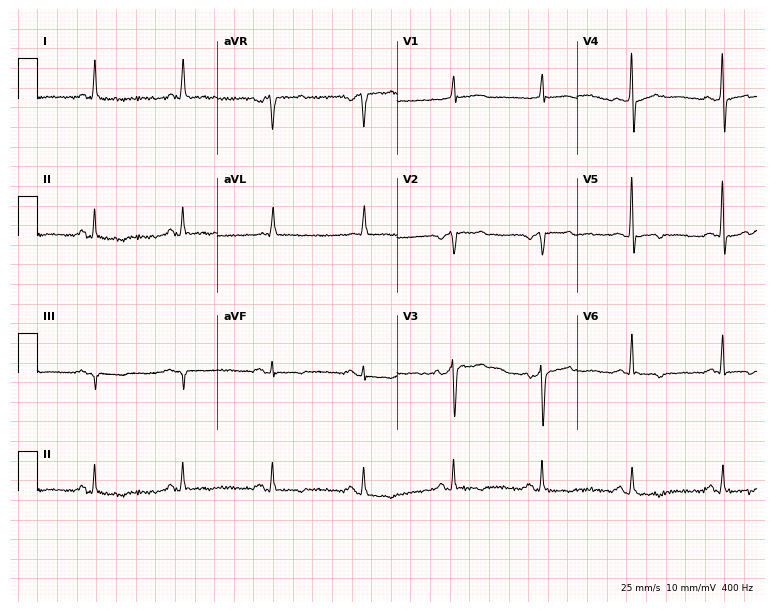
Electrocardiogram (7.3-second recording at 400 Hz), a 68-year-old male. Of the six screened findings (first-degree AV block, right bundle branch block, left bundle branch block, sinus bradycardia, atrial fibrillation, sinus tachycardia), none is recorded. Findings outside these six are not listed.